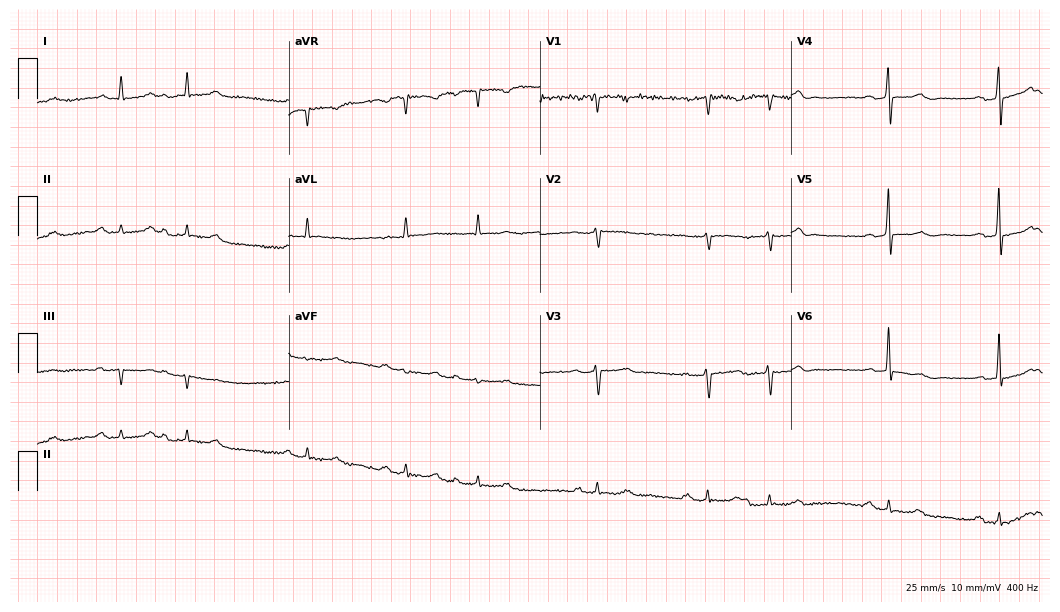
Resting 12-lead electrocardiogram. Patient: a male, 78 years old. None of these six findings is recorded: first-degree AV block, right bundle branch block, left bundle branch block, sinus bradycardia, atrial fibrillation, sinus tachycardia. Findings outside these six are not listed.